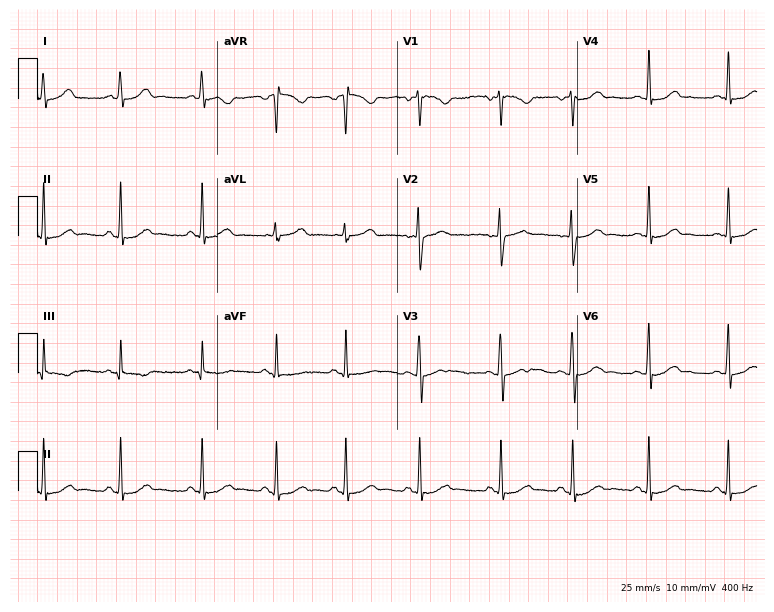
Resting 12-lead electrocardiogram (7.3-second recording at 400 Hz). Patient: a female, 19 years old. Read as a normal ECG.